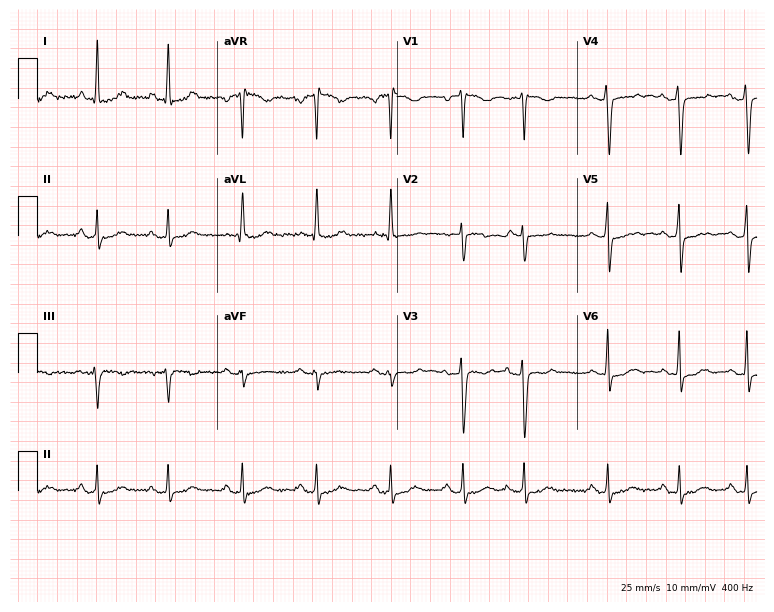
Standard 12-lead ECG recorded from a 43-year-old female patient (7.3-second recording at 400 Hz). None of these six findings is recorded: first-degree AV block, right bundle branch block (RBBB), left bundle branch block (LBBB), sinus bradycardia, atrial fibrillation (AF), sinus tachycardia.